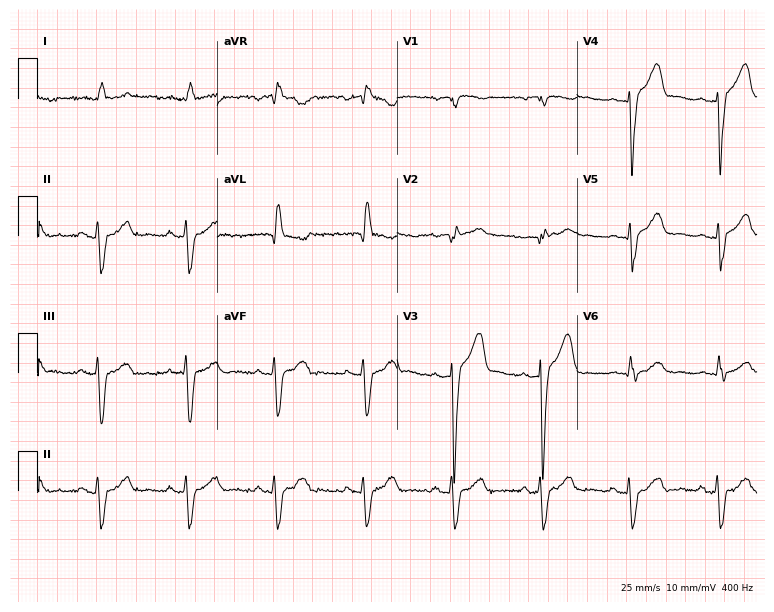
12-lead ECG from a 76-year-old male. Shows right bundle branch block.